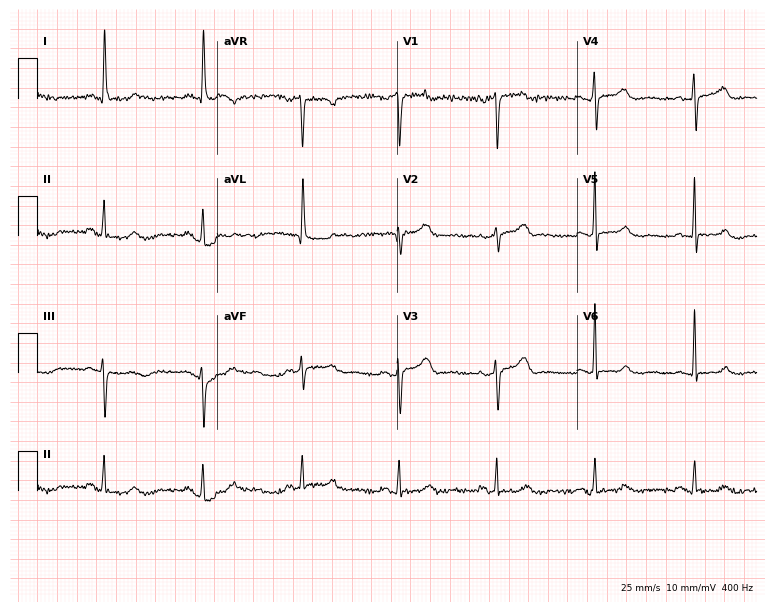
ECG — a 75-year-old woman. Screened for six findings — first-degree AV block, right bundle branch block, left bundle branch block, sinus bradycardia, atrial fibrillation, sinus tachycardia — none is recorded.